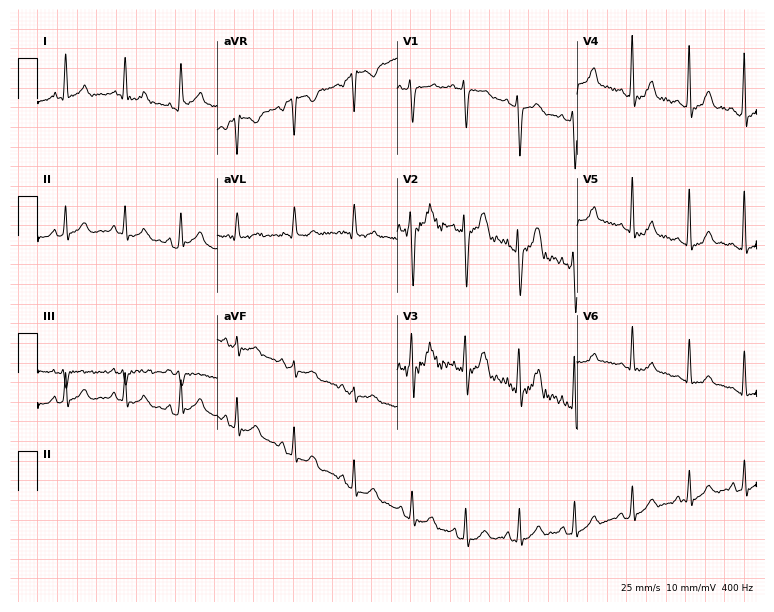
12-lead ECG from a male, 19 years old. Findings include sinus tachycardia (a sinus rate of 100 beats per minute or more).